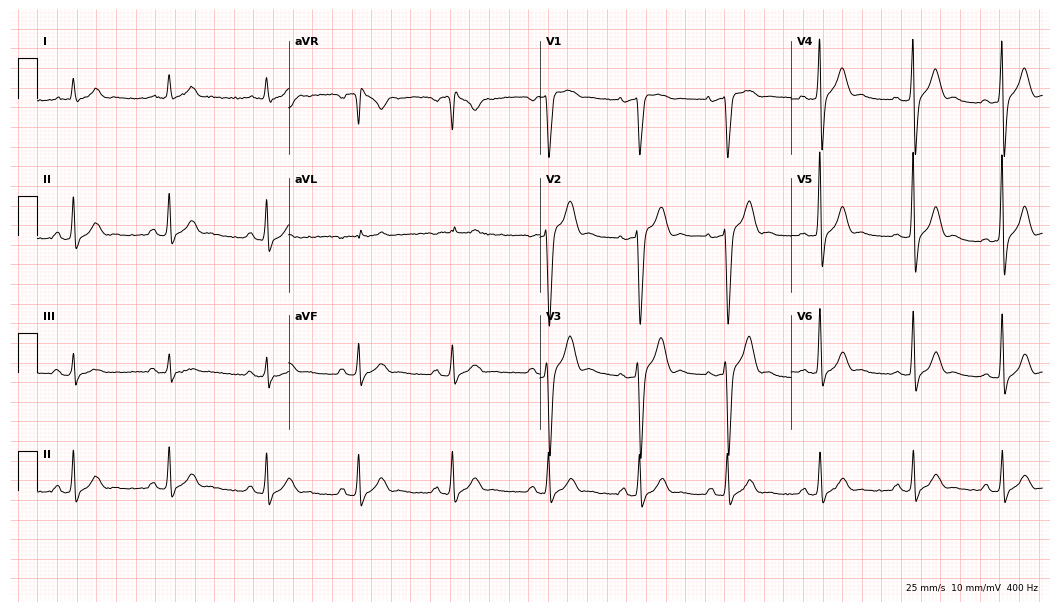
ECG — a male patient, 40 years old. Labelled as a normal ECG.